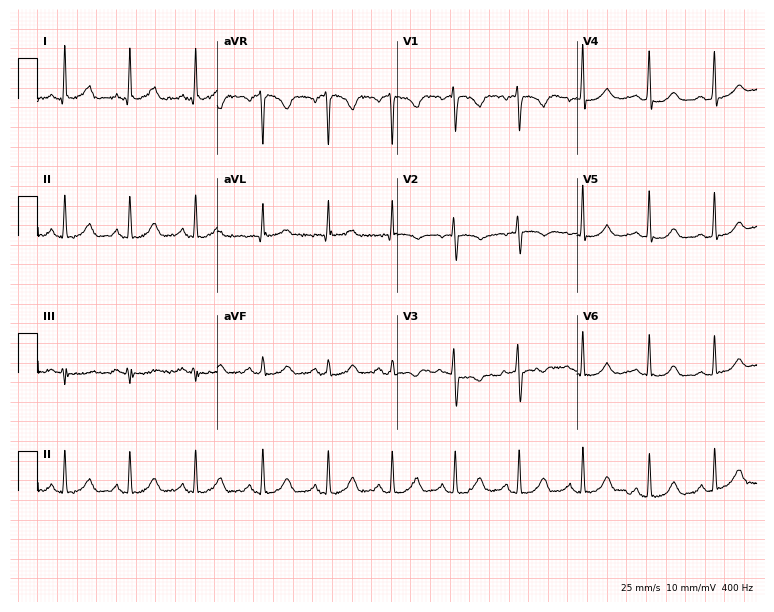
12-lead ECG from a 42-year-old female patient. Recorded interpretation: within normal limits.